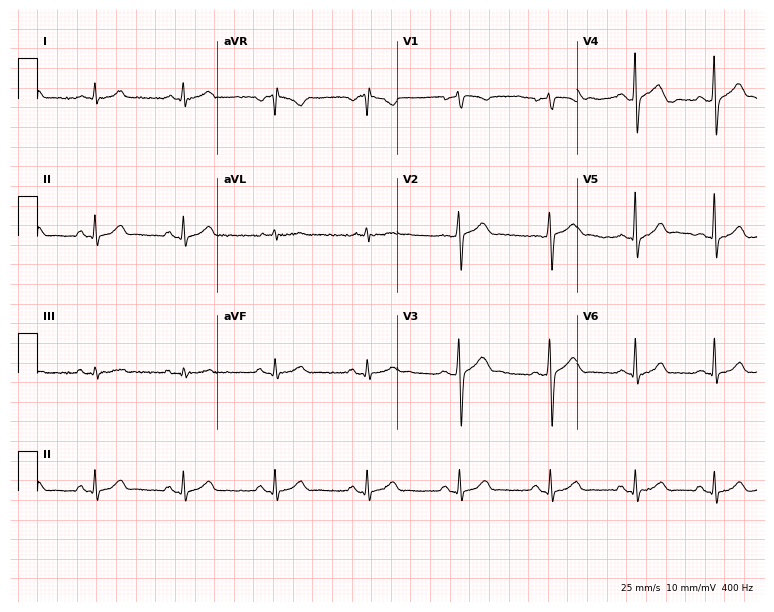
Electrocardiogram, a male patient, 42 years old. Of the six screened findings (first-degree AV block, right bundle branch block, left bundle branch block, sinus bradycardia, atrial fibrillation, sinus tachycardia), none is recorded. Other findings, if any, are not listed.